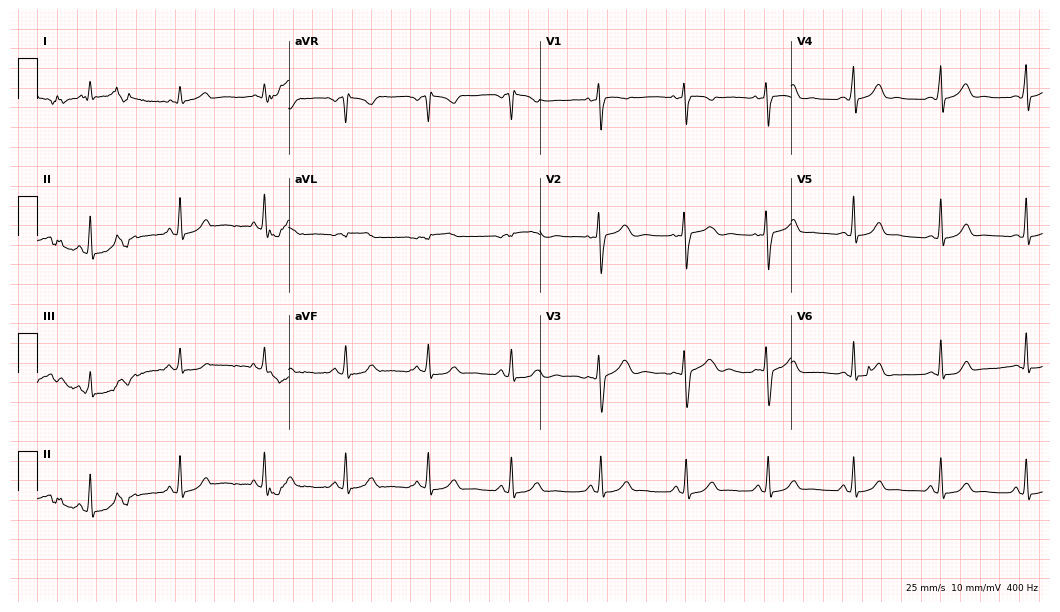
Electrocardiogram, a 30-year-old female patient. Overall reading on record: normal ECG.